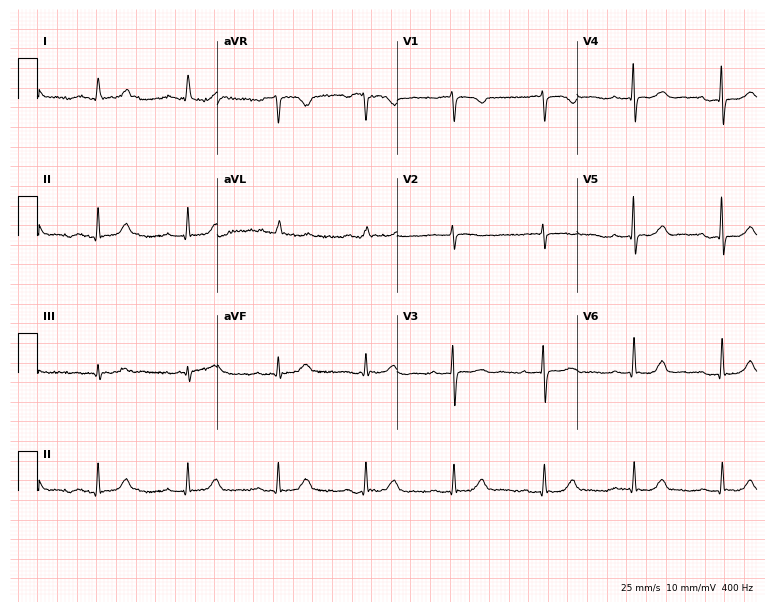
ECG — a woman, 76 years old. Screened for six findings — first-degree AV block, right bundle branch block, left bundle branch block, sinus bradycardia, atrial fibrillation, sinus tachycardia — none is recorded. Other findings, if any, are not listed.